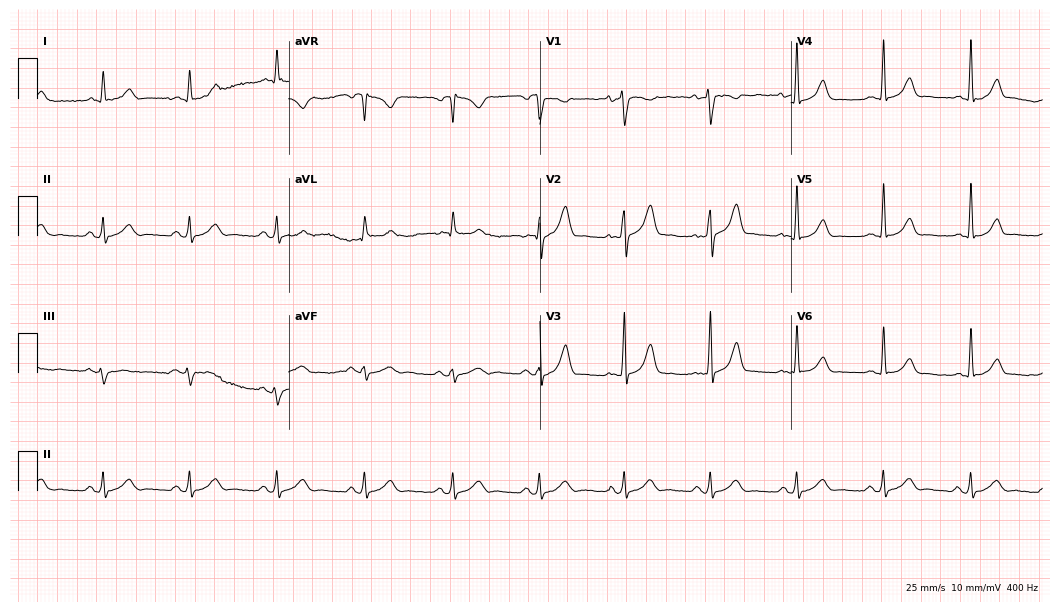
ECG (10.2-second recording at 400 Hz) — a man, 63 years old. Labelled as a normal ECG.